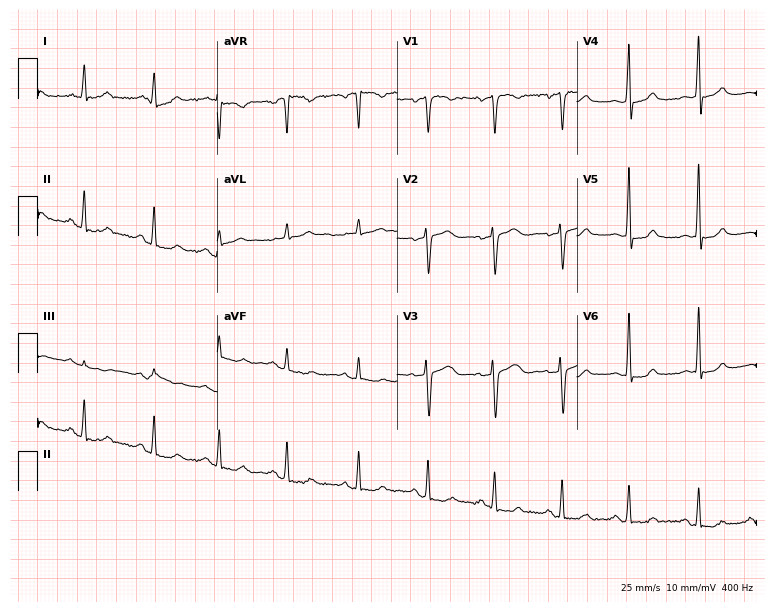
Standard 12-lead ECG recorded from a female patient, 41 years old. None of these six findings is recorded: first-degree AV block, right bundle branch block (RBBB), left bundle branch block (LBBB), sinus bradycardia, atrial fibrillation (AF), sinus tachycardia.